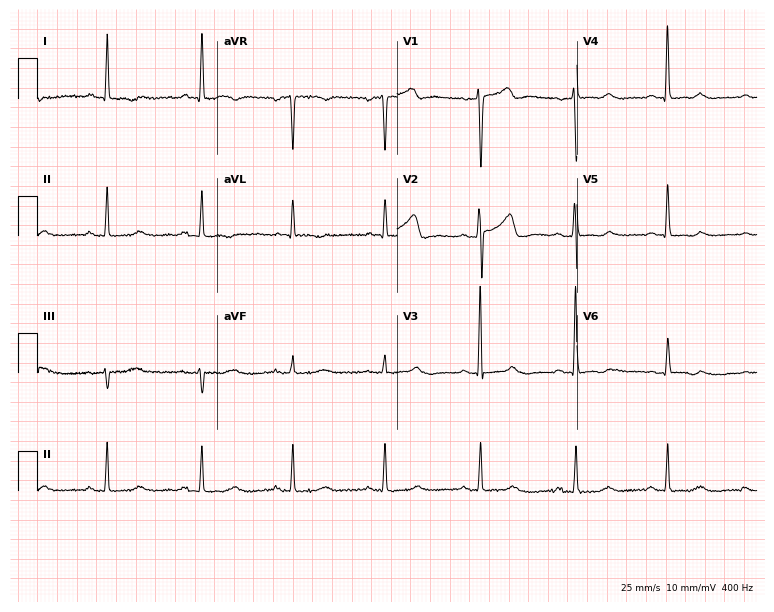
Electrocardiogram, a female, 67 years old. Of the six screened findings (first-degree AV block, right bundle branch block (RBBB), left bundle branch block (LBBB), sinus bradycardia, atrial fibrillation (AF), sinus tachycardia), none is recorded.